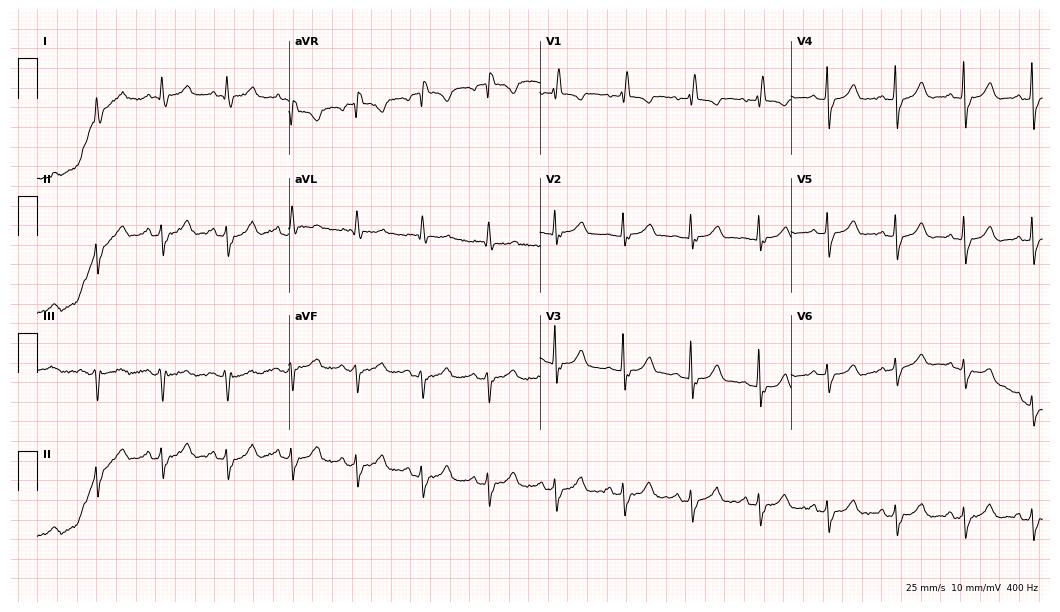
Resting 12-lead electrocardiogram. Patient: a 65-year-old female. Read as a normal ECG.